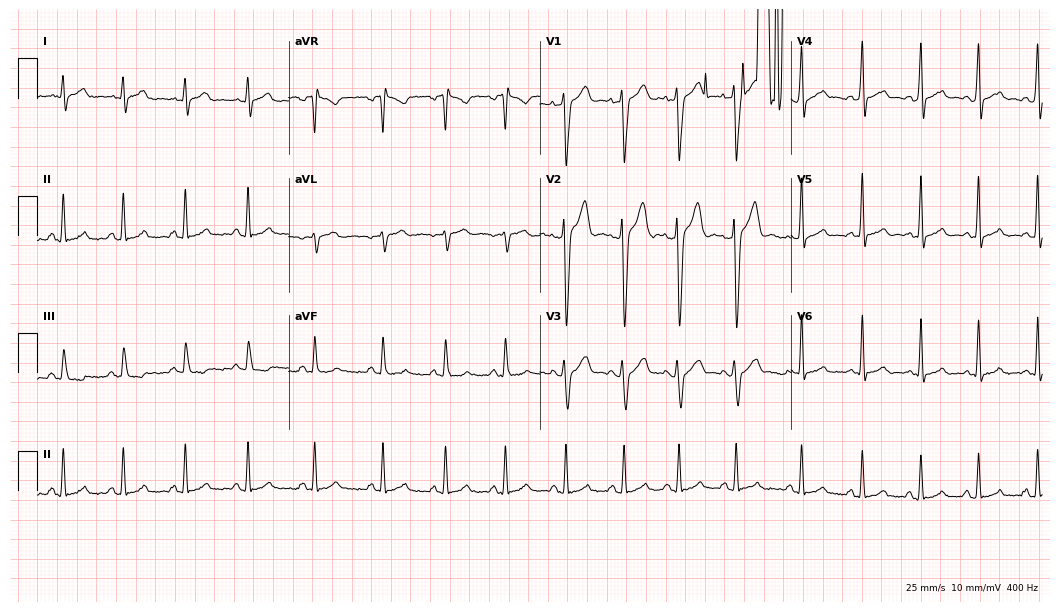
ECG (10.2-second recording at 400 Hz) — a man, 20 years old. Screened for six findings — first-degree AV block, right bundle branch block, left bundle branch block, sinus bradycardia, atrial fibrillation, sinus tachycardia — none is recorded.